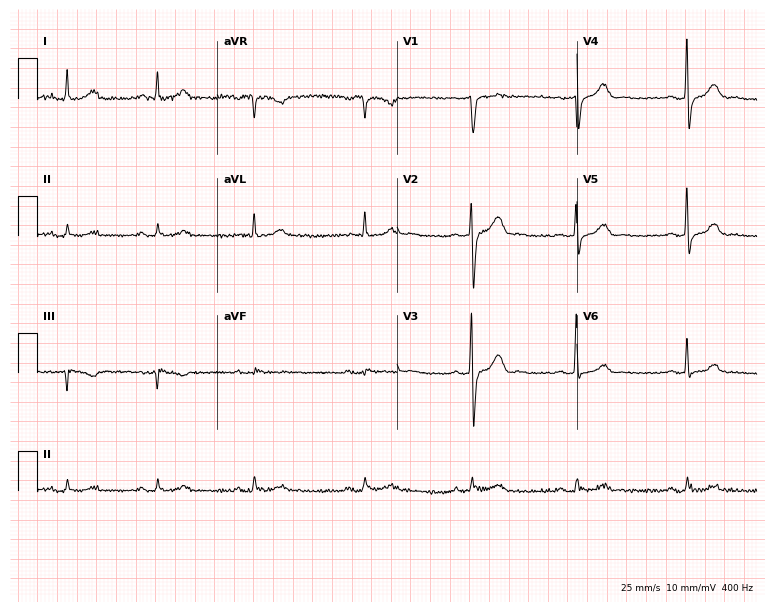
Resting 12-lead electrocardiogram. Patient: a man, 61 years old. None of these six findings is recorded: first-degree AV block, right bundle branch block, left bundle branch block, sinus bradycardia, atrial fibrillation, sinus tachycardia. Findings outside these six are not listed.